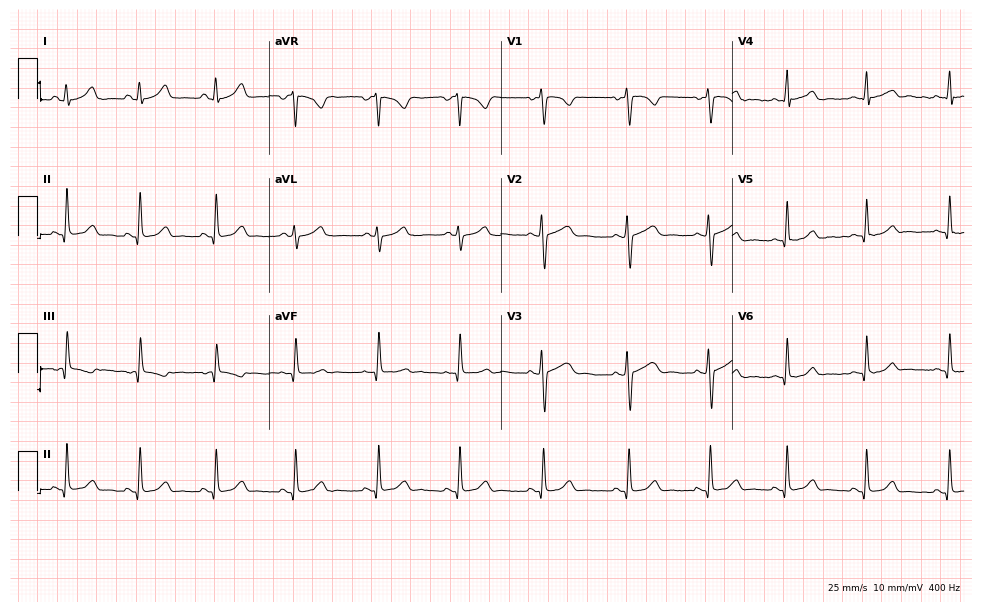
Electrocardiogram (9.4-second recording at 400 Hz), a 21-year-old female. Overall reading on record: normal ECG.